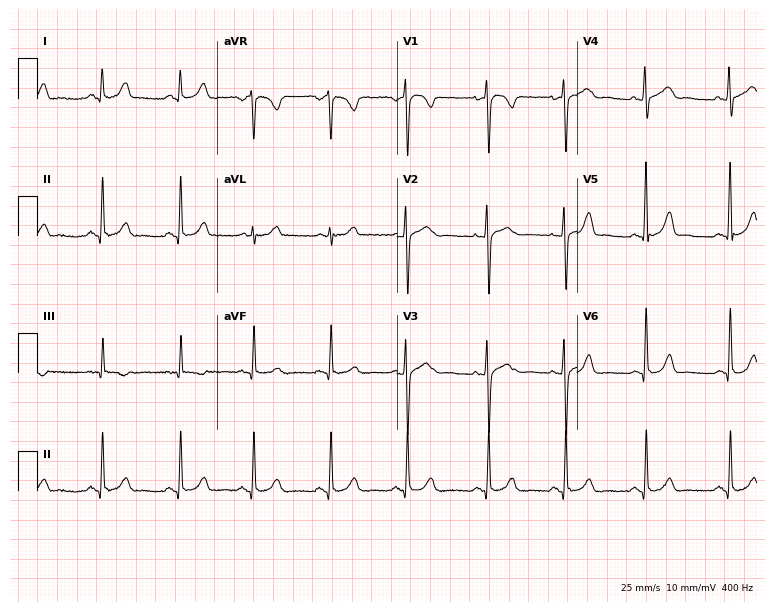
Electrocardiogram, a woman, 48 years old. Overall reading on record: normal ECG.